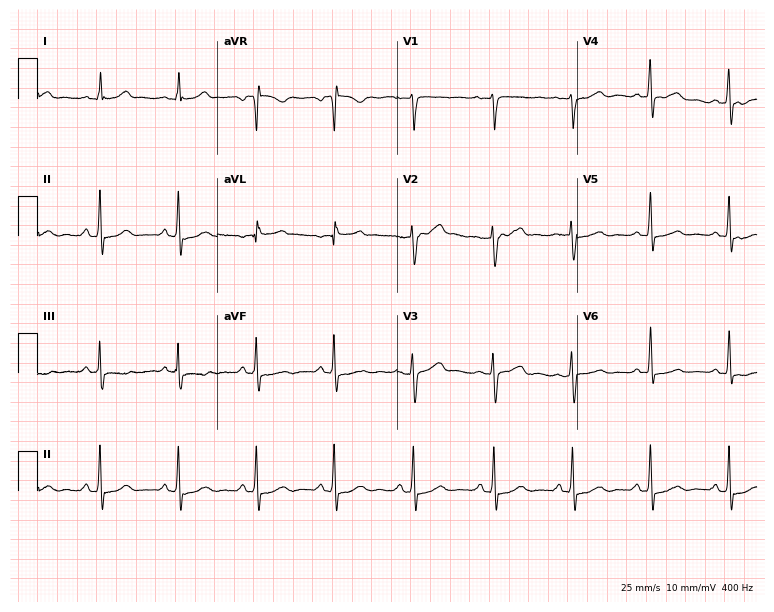
Standard 12-lead ECG recorded from a female, 39 years old. Read as a normal ECG.